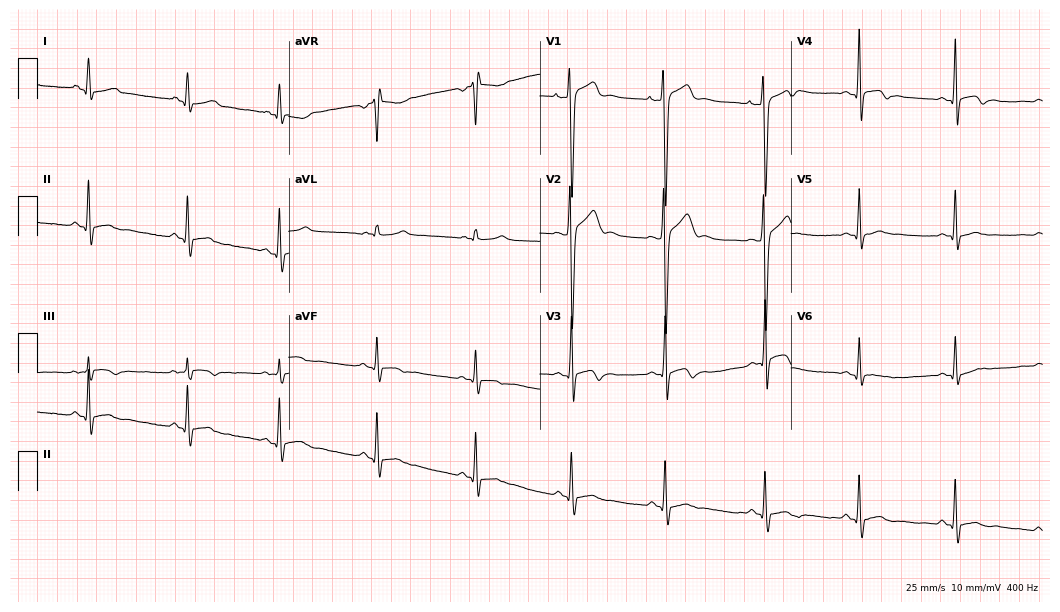
Electrocardiogram (10.2-second recording at 400 Hz), a 17-year-old male patient. Of the six screened findings (first-degree AV block, right bundle branch block, left bundle branch block, sinus bradycardia, atrial fibrillation, sinus tachycardia), none is recorded. Other findings, if any, are not listed.